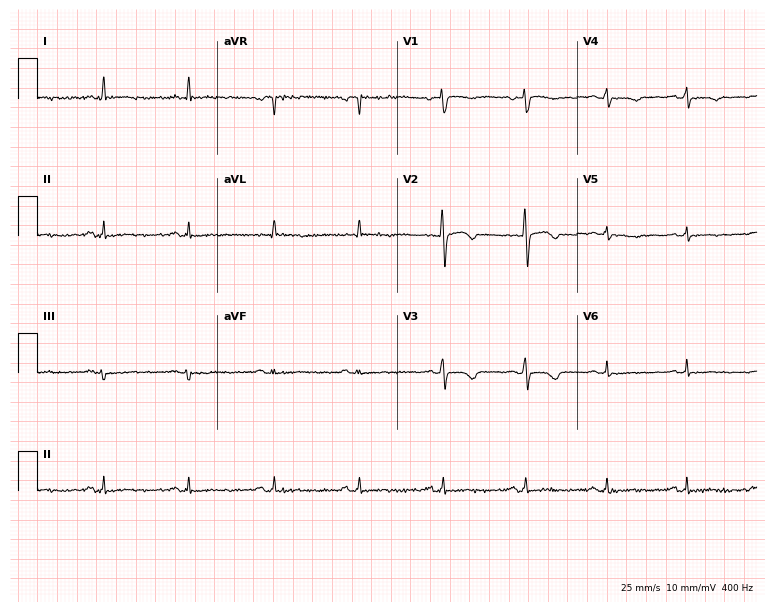
12-lead ECG from a female patient, 38 years old. No first-degree AV block, right bundle branch block, left bundle branch block, sinus bradycardia, atrial fibrillation or sinus tachycardia recorded for this tracing.